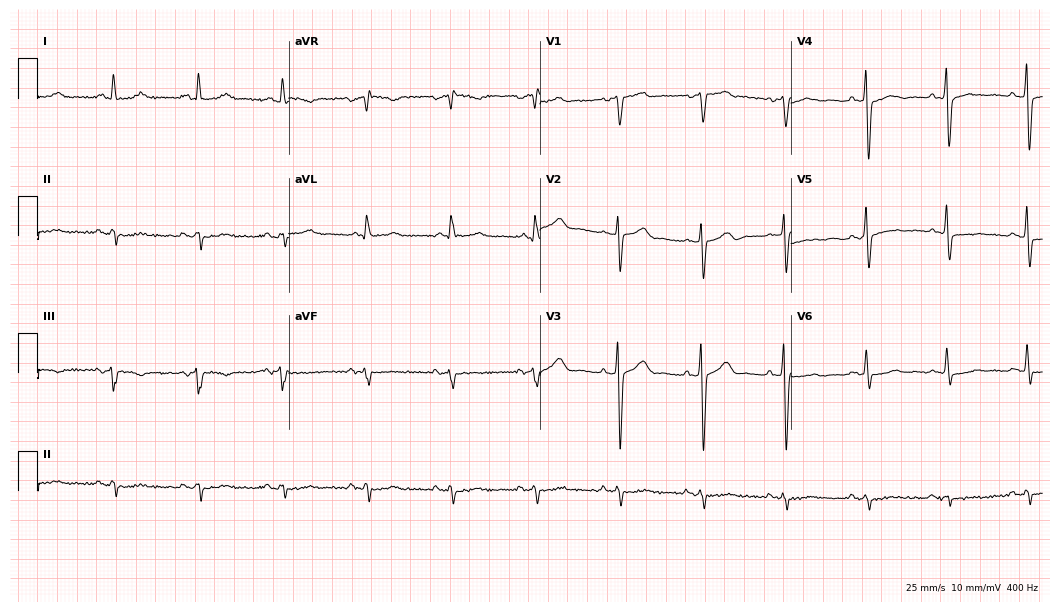
Standard 12-lead ECG recorded from a 72-year-old male patient. Read as a normal ECG.